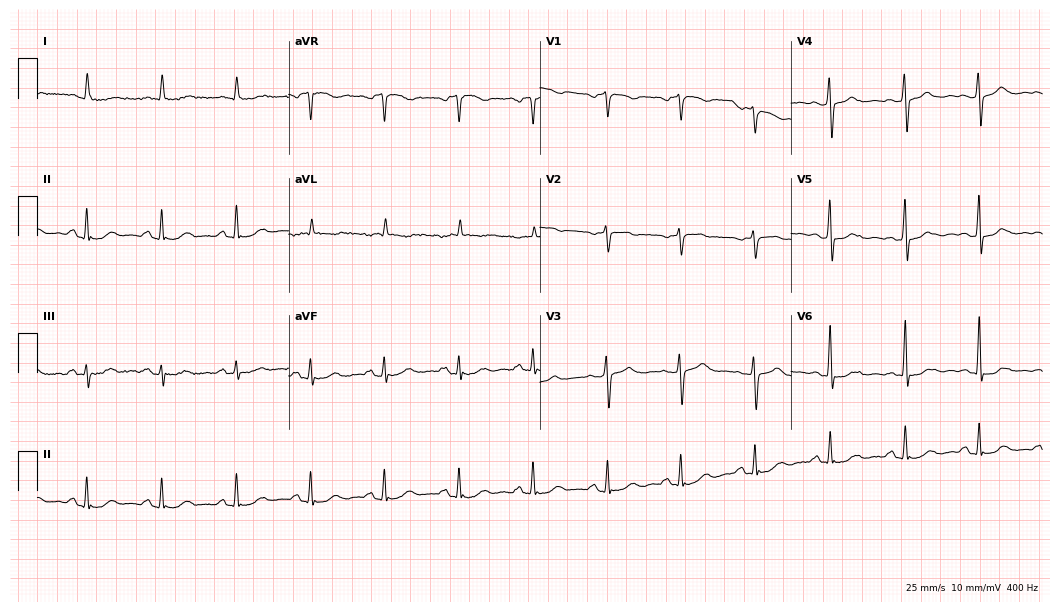
12-lead ECG (10.2-second recording at 400 Hz) from a female, 72 years old. Screened for six findings — first-degree AV block, right bundle branch block (RBBB), left bundle branch block (LBBB), sinus bradycardia, atrial fibrillation (AF), sinus tachycardia — none is recorded.